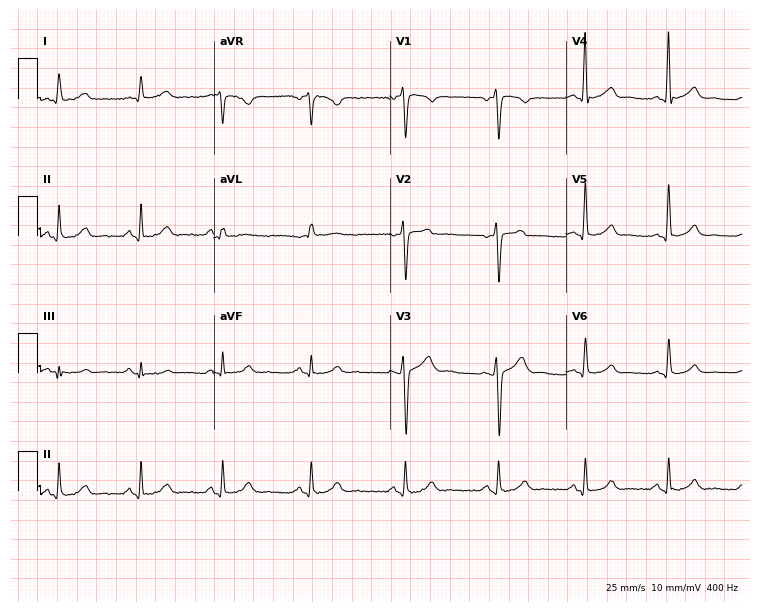
12-lead ECG (7.2-second recording at 400 Hz) from a man, 54 years old. Labelled as a normal ECG.